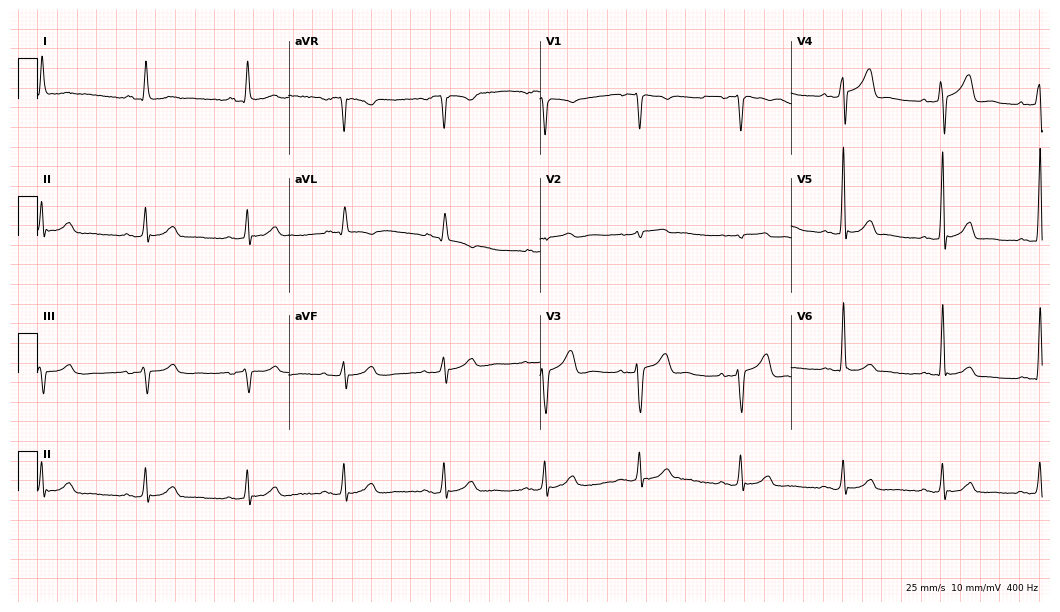
Electrocardiogram (10.2-second recording at 400 Hz), a man, 62 years old. Overall reading on record: normal ECG.